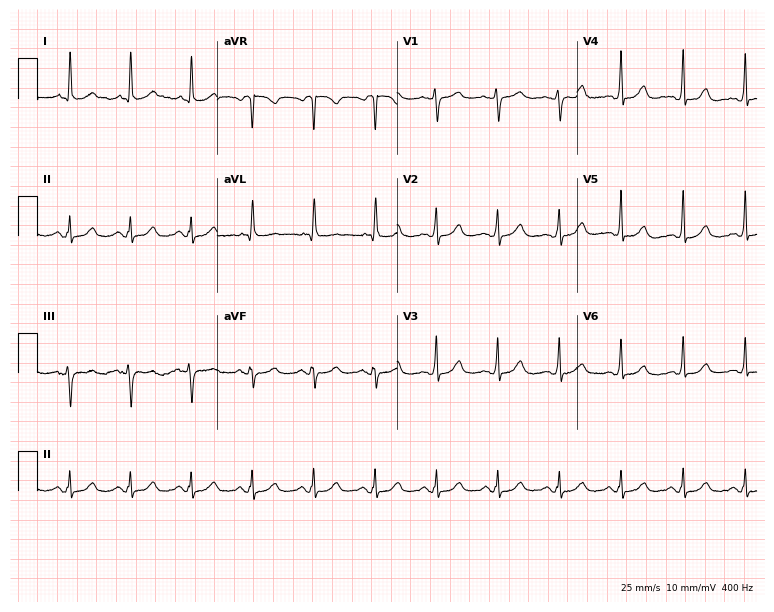
Resting 12-lead electrocardiogram (7.3-second recording at 400 Hz). Patient: a woman, 72 years old. Read as a normal ECG.